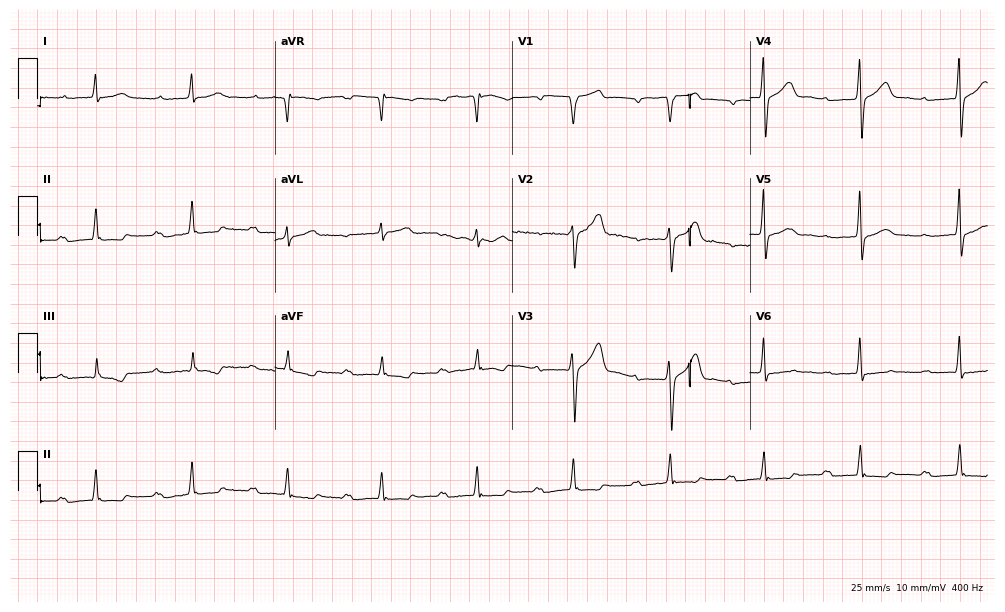
Resting 12-lead electrocardiogram (9.7-second recording at 400 Hz). Patient: a male, 71 years old. The tracing shows first-degree AV block.